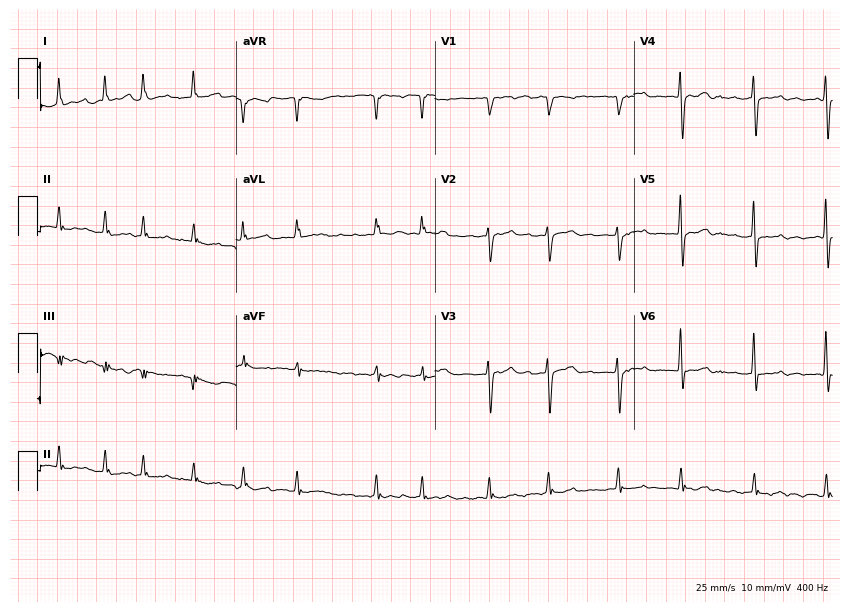
Resting 12-lead electrocardiogram. Patient: a woman, 73 years old. The tracing shows atrial fibrillation.